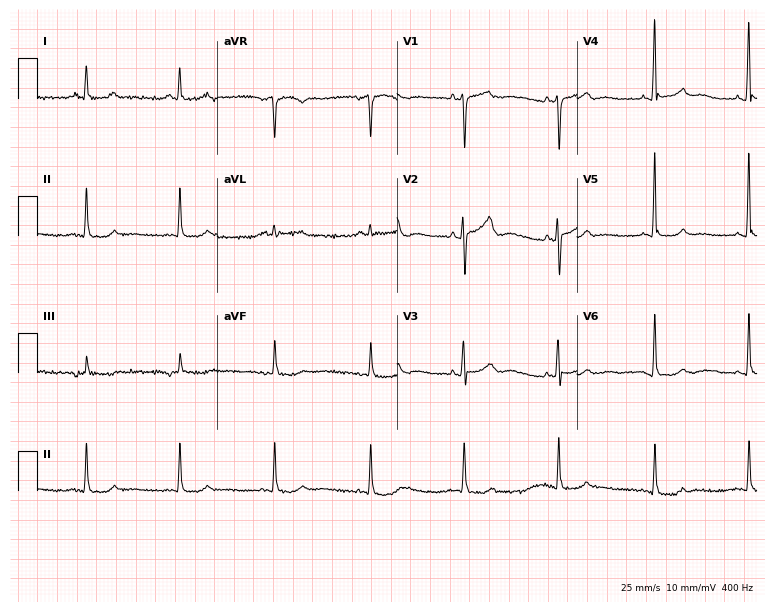
12-lead ECG from a female patient, 79 years old. No first-degree AV block, right bundle branch block, left bundle branch block, sinus bradycardia, atrial fibrillation or sinus tachycardia recorded for this tracing. Findings outside these six are not listed.